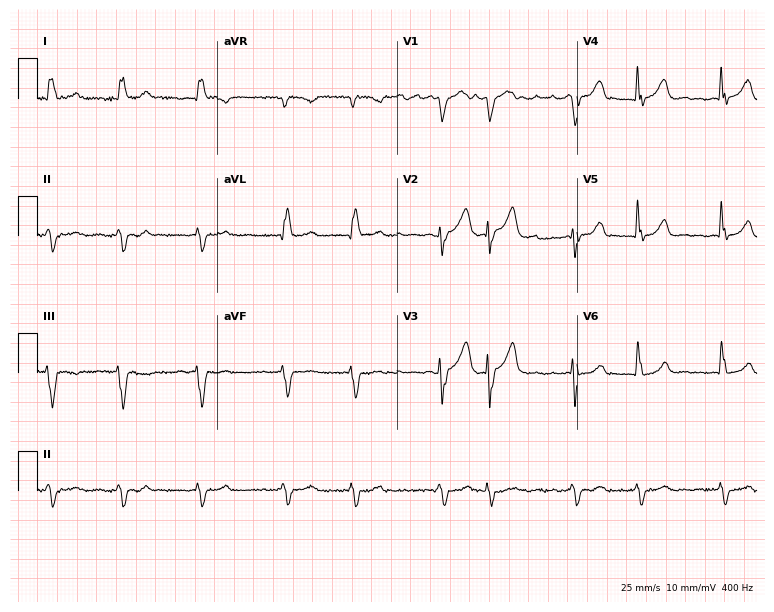
Electrocardiogram (7.3-second recording at 400 Hz), a male patient, 75 years old. Interpretation includes left bundle branch block.